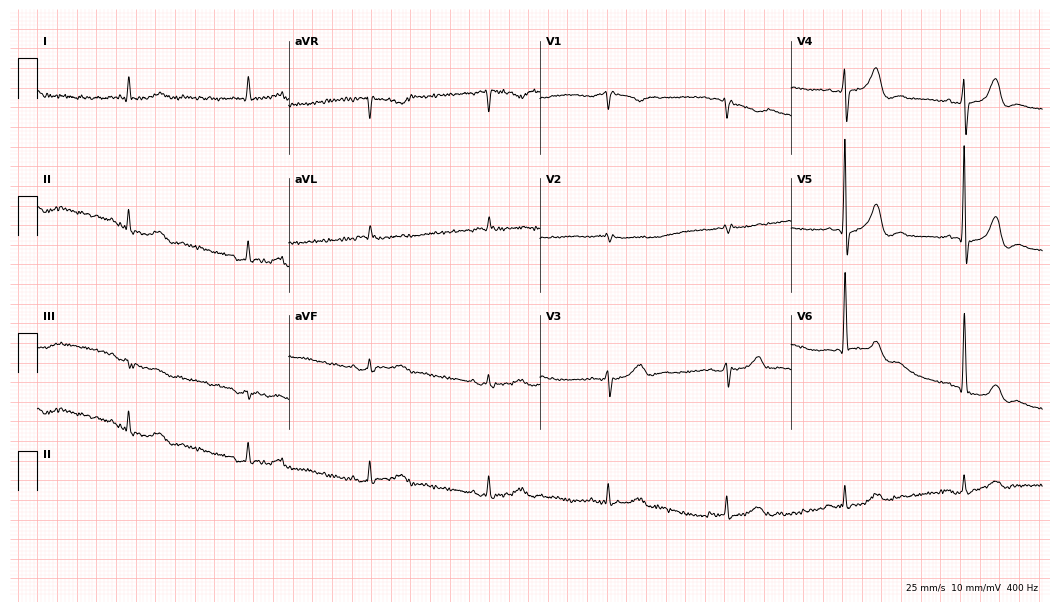
Resting 12-lead electrocardiogram (10.2-second recording at 400 Hz). Patient: an 85-year-old male. The tracing shows sinus bradycardia (a sinus rate of 50 beats per minute or less).